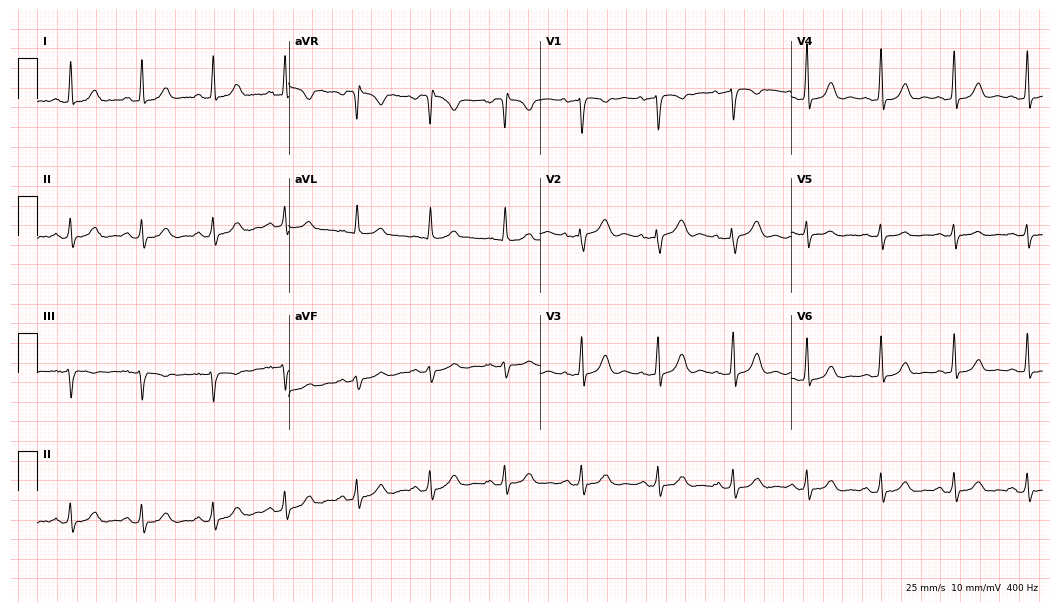
Electrocardiogram (10.2-second recording at 400 Hz), a woman, 54 years old. Overall reading on record: normal ECG.